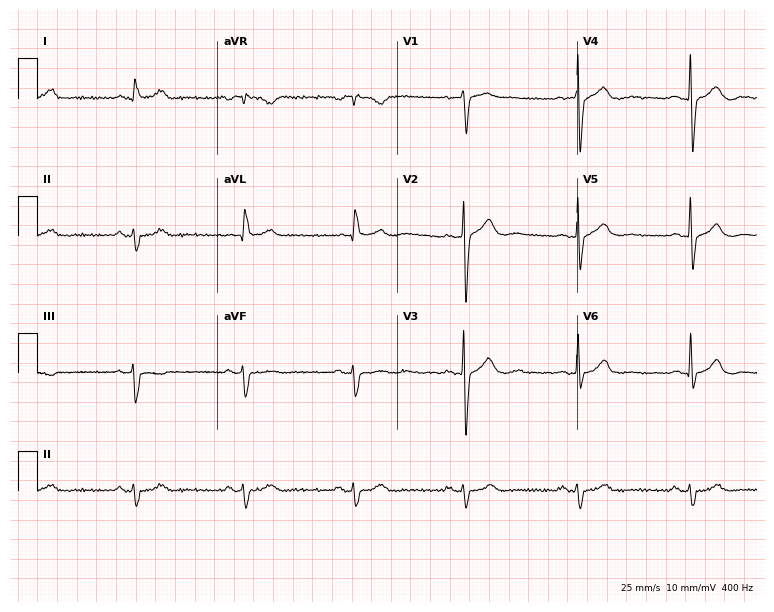
12-lead ECG from a man, 68 years old (7.3-second recording at 400 Hz). No first-degree AV block, right bundle branch block (RBBB), left bundle branch block (LBBB), sinus bradycardia, atrial fibrillation (AF) or sinus tachycardia recorded for this tracing.